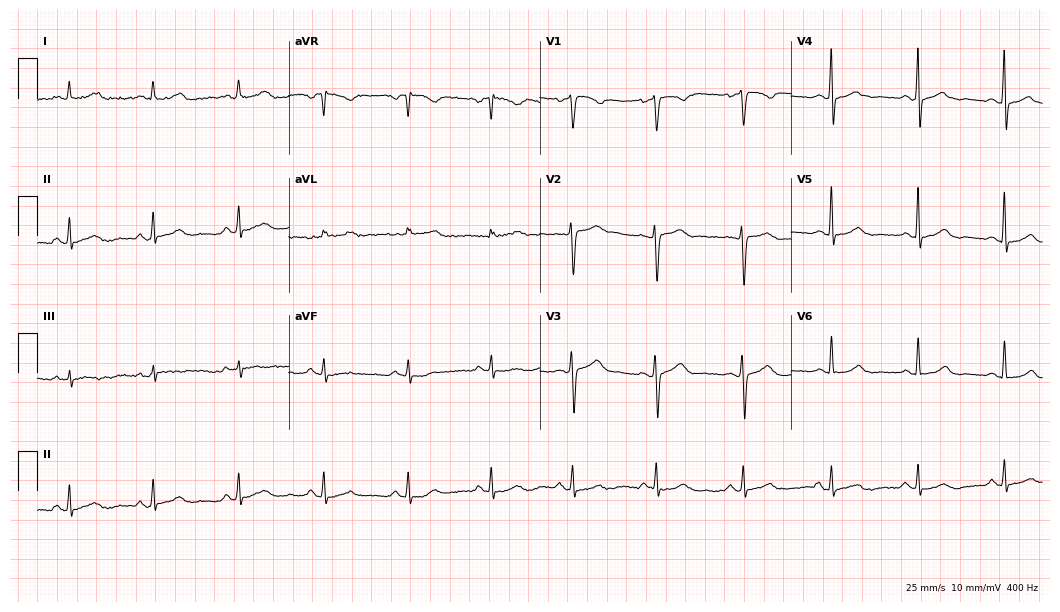
ECG — a 39-year-old woman. Screened for six findings — first-degree AV block, right bundle branch block, left bundle branch block, sinus bradycardia, atrial fibrillation, sinus tachycardia — none is recorded. Only these six findings were labelled.